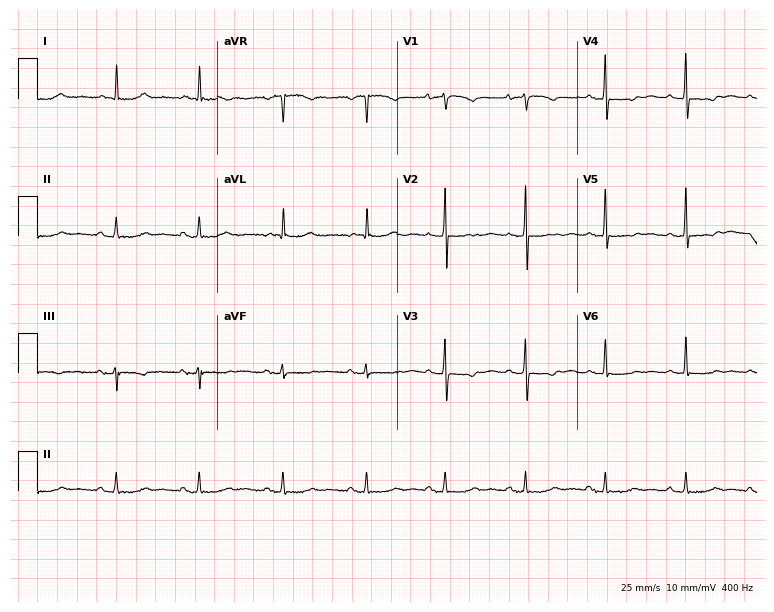
Standard 12-lead ECG recorded from a woman, 85 years old (7.3-second recording at 400 Hz). Read as a normal ECG.